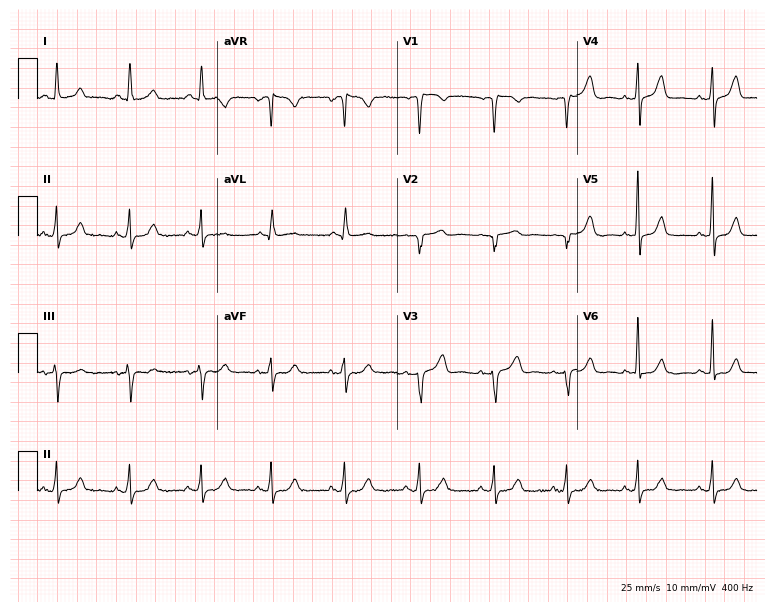
Electrocardiogram (7.3-second recording at 400 Hz), a 50-year-old female. Overall reading on record: normal ECG.